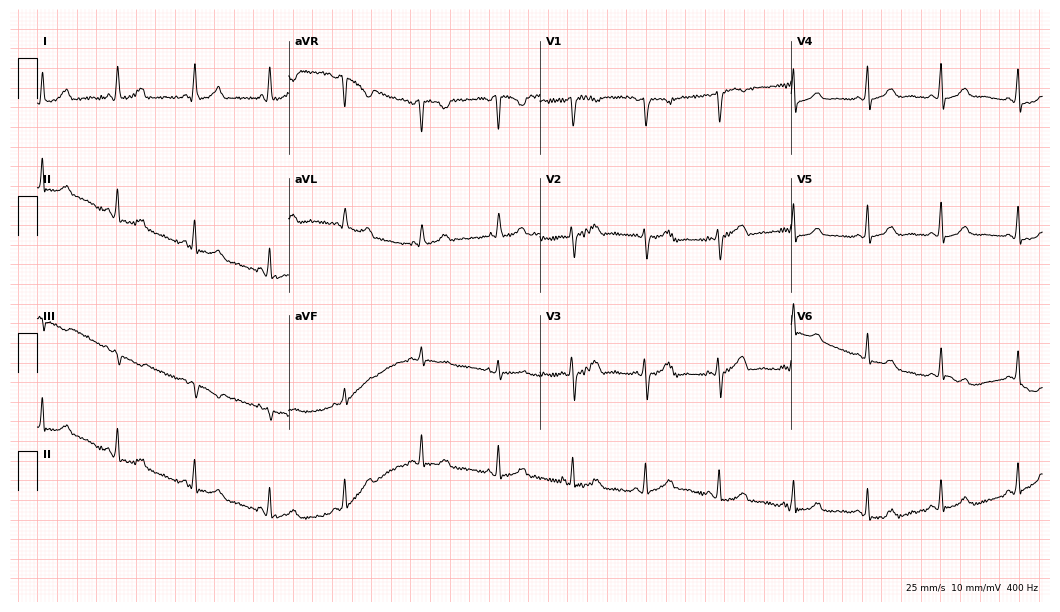
ECG (10.2-second recording at 400 Hz) — a 40-year-old female patient. Labelled as a normal ECG.